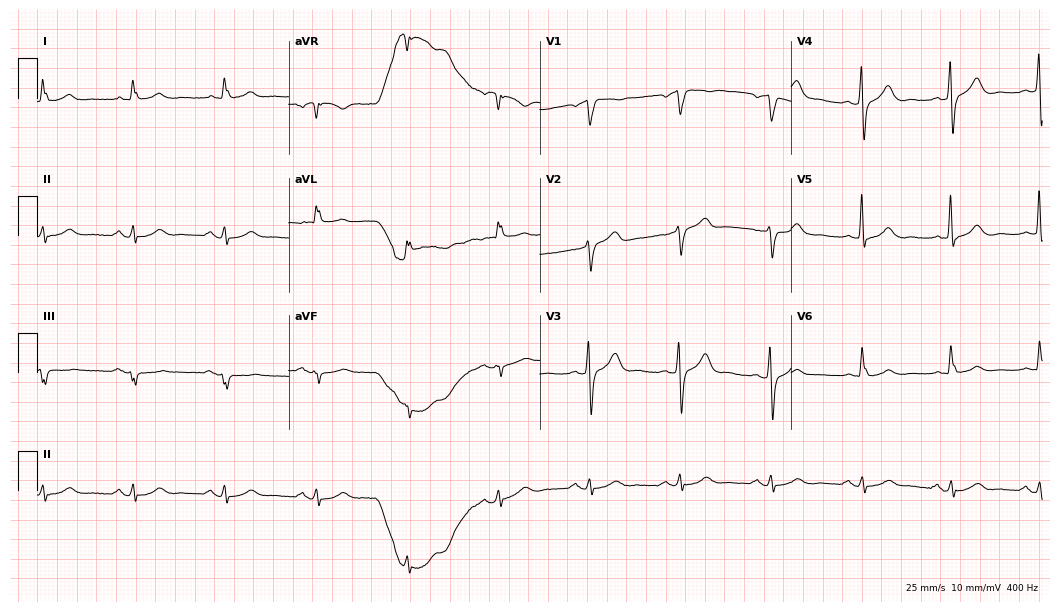
Standard 12-lead ECG recorded from a 78-year-old man (10.2-second recording at 400 Hz). None of these six findings is recorded: first-degree AV block, right bundle branch block (RBBB), left bundle branch block (LBBB), sinus bradycardia, atrial fibrillation (AF), sinus tachycardia. Only these six findings were labelled.